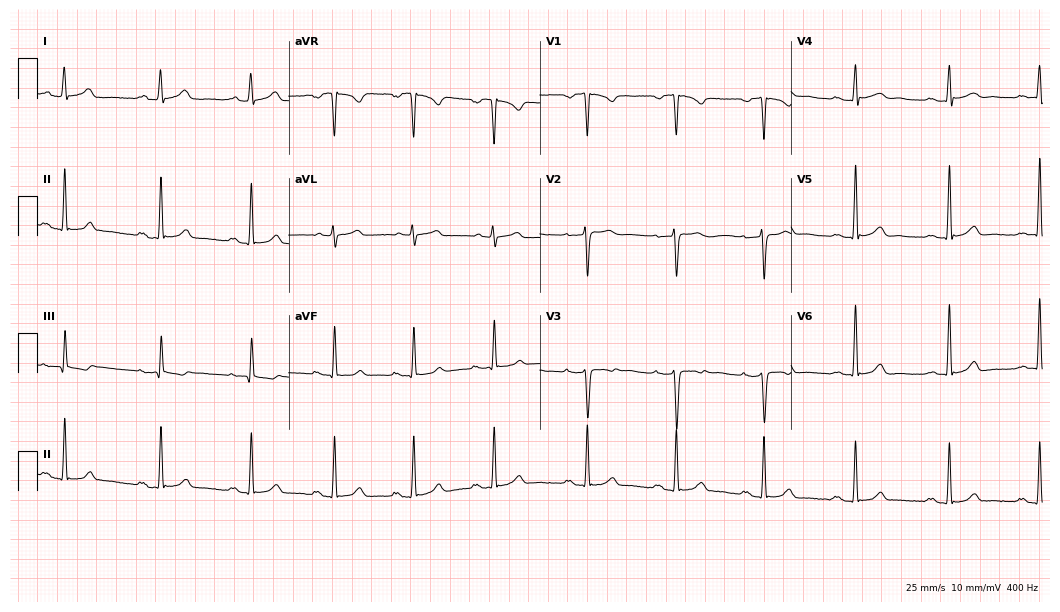
ECG (10.2-second recording at 400 Hz) — a female, 36 years old. Screened for six findings — first-degree AV block, right bundle branch block, left bundle branch block, sinus bradycardia, atrial fibrillation, sinus tachycardia — none is recorded. Findings outside these six are not listed.